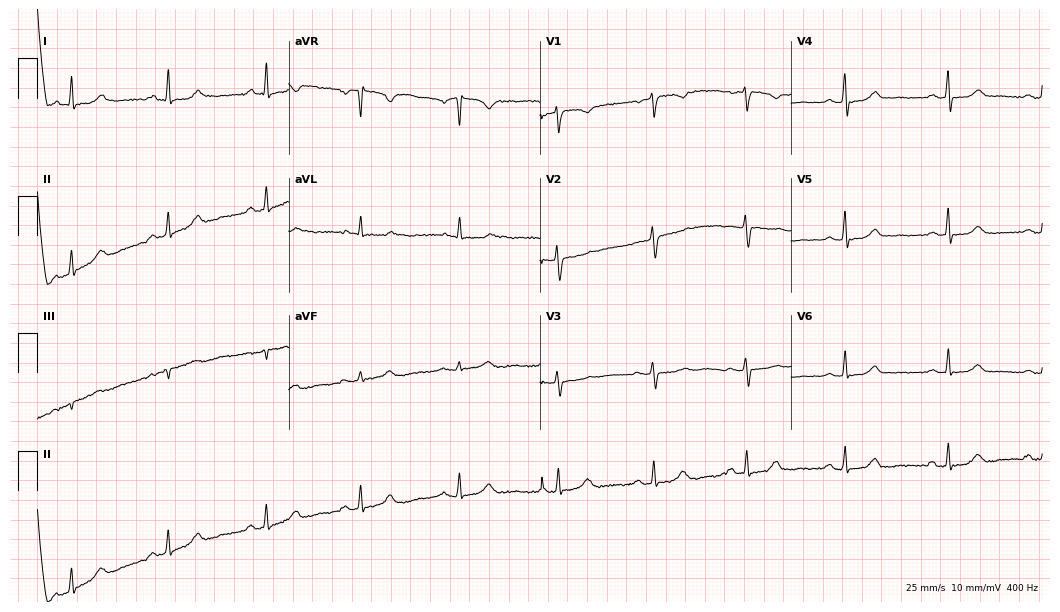
ECG — a woman, 50 years old. Screened for six findings — first-degree AV block, right bundle branch block, left bundle branch block, sinus bradycardia, atrial fibrillation, sinus tachycardia — none is recorded. Findings outside these six are not listed.